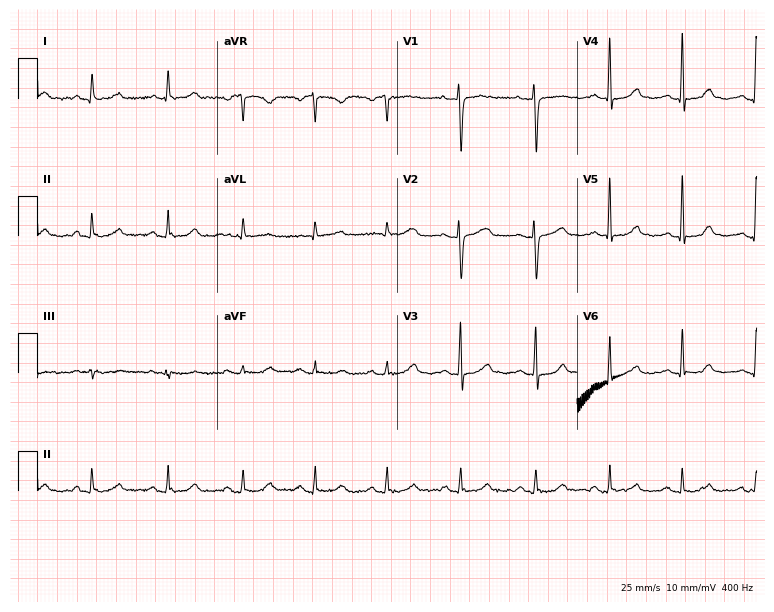
Electrocardiogram, a female patient, 57 years old. Overall reading on record: normal ECG.